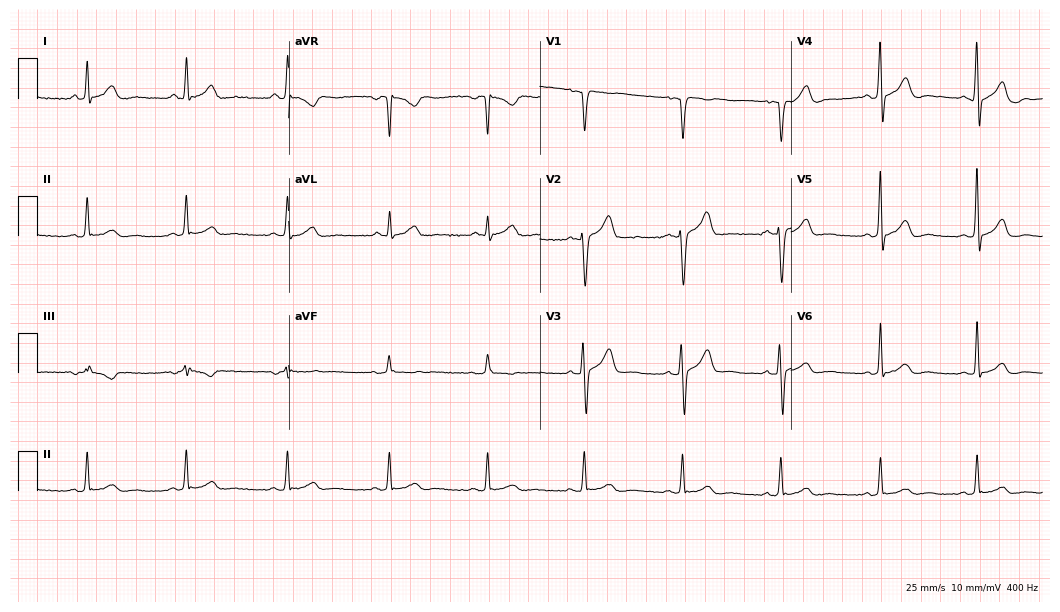
Standard 12-lead ECG recorded from a 36-year-old male patient. Read as a normal ECG.